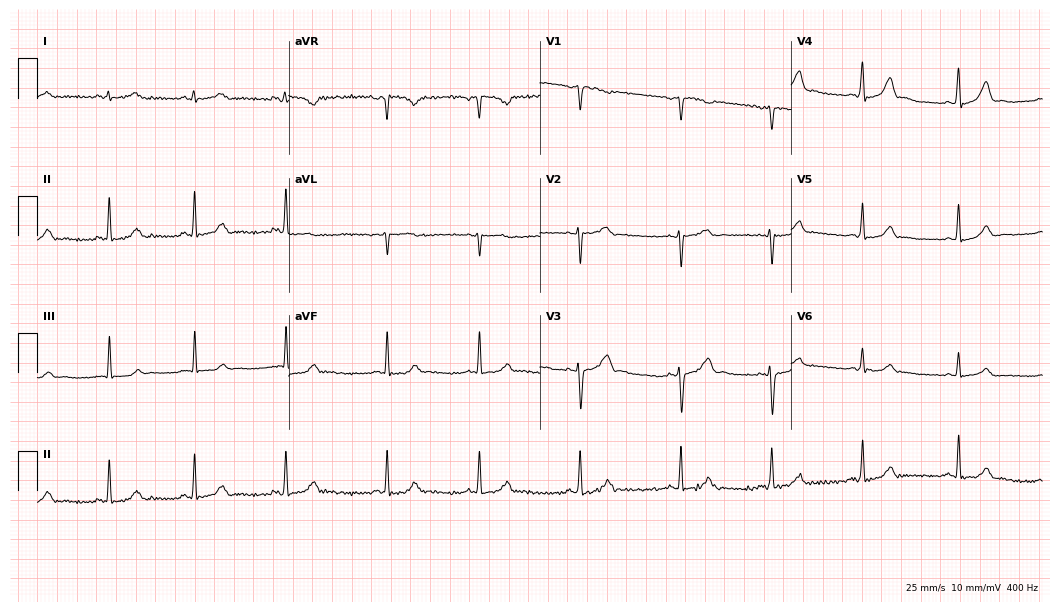
Standard 12-lead ECG recorded from a 29-year-old woman (10.2-second recording at 400 Hz). None of these six findings is recorded: first-degree AV block, right bundle branch block, left bundle branch block, sinus bradycardia, atrial fibrillation, sinus tachycardia. Only these six findings were labelled.